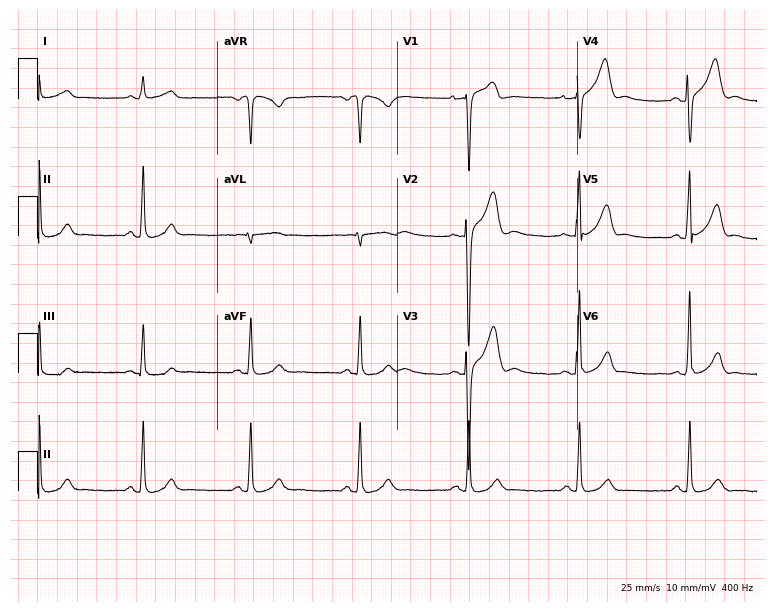
12-lead ECG from a 49-year-old male. No first-degree AV block, right bundle branch block, left bundle branch block, sinus bradycardia, atrial fibrillation or sinus tachycardia recorded for this tracing.